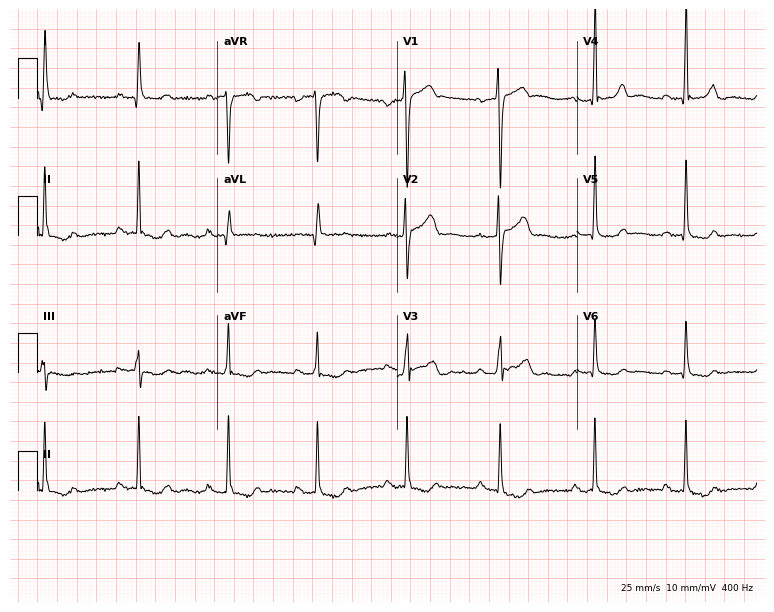
12-lead ECG from a 48-year-old male patient. Screened for six findings — first-degree AV block, right bundle branch block, left bundle branch block, sinus bradycardia, atrial fibrillation, sinus tachycardia — none is recorded.